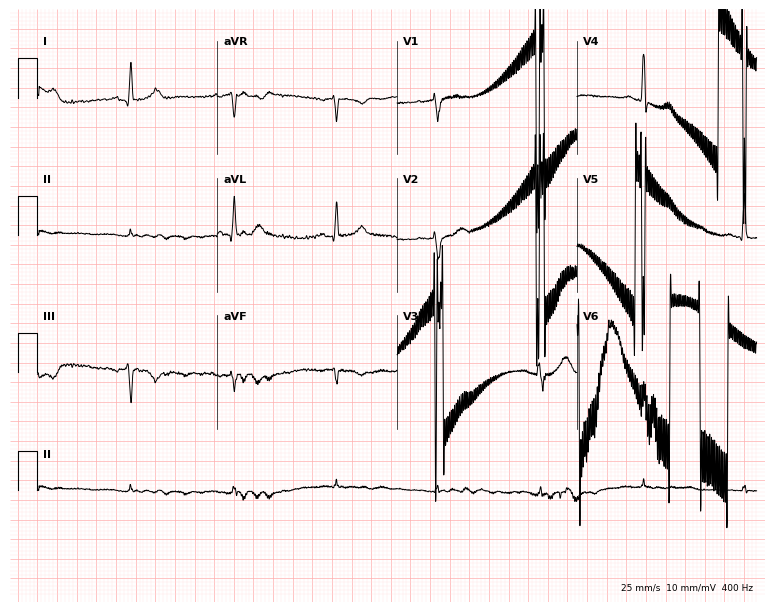
Electrocardiogram, a man, 48 years old. Of the six screened findings (first-degree AV block, right bundle branch block, left bundle branch block, sinus bradycardia, atrial fibrillation, sinus tachycardia), none is recorded.